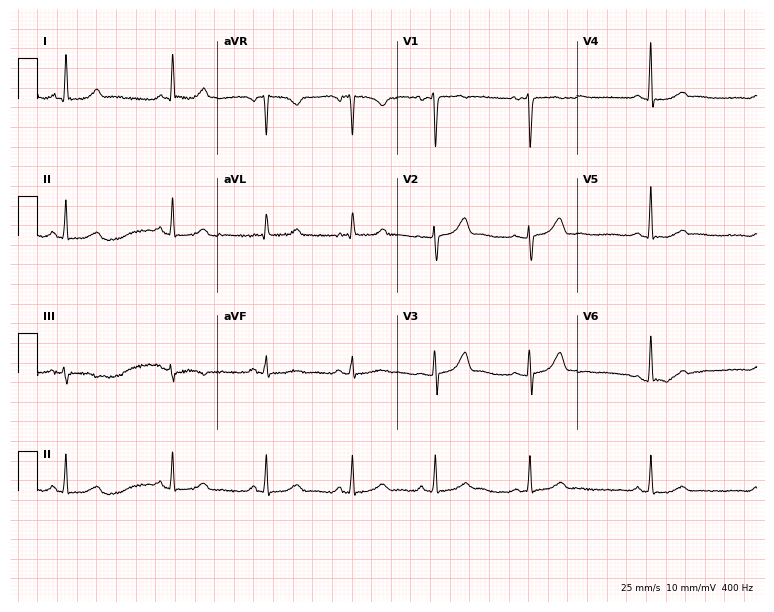
Standard 12-lead ECG recorded from a 48-year-old female patient (7.3-second recording at 400 Hz). Read as a normal ECG.